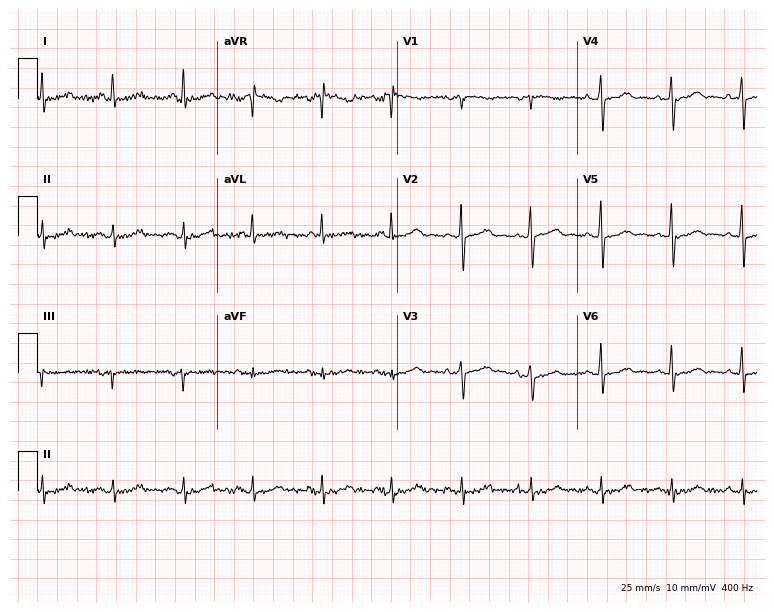
12-lead ECG (7.3-second recording at 400 Hz) from a woman, 62 years old. Labelled as a normal ECG.